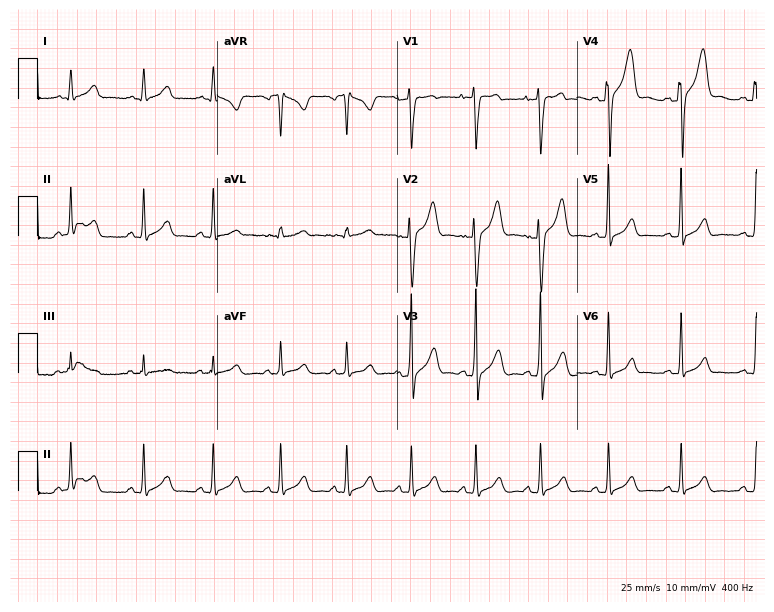
12-lead ECG from a 23-year-old male patient (7.3-second recording at 400 Hz). Recorded interpretation: within normal limits.